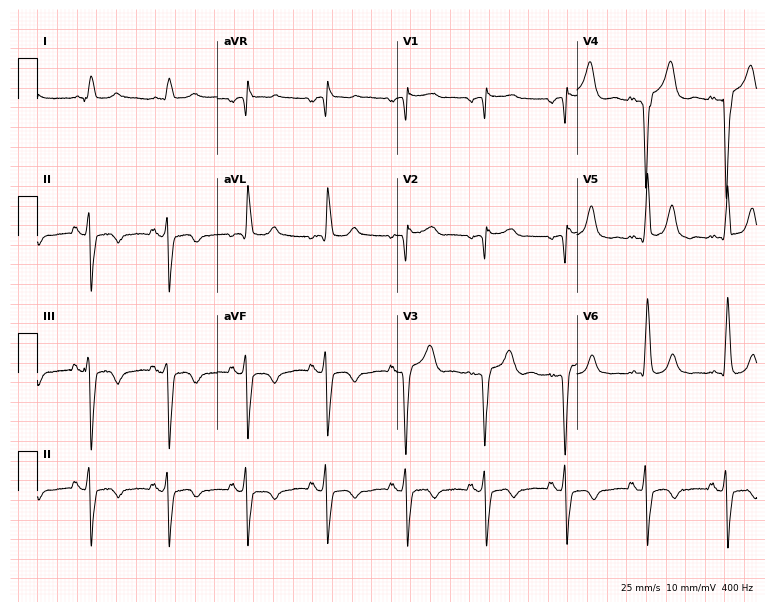
ECG (7.3-second recording at 400 Hz) — an 84-year-old male. Screened for six findings — first-degree AV block, right bundle branch block (RBBB), left bundle branch block (LBBB), sinus bradycardia, atrial fibrillation (AF), sinus tachycardia — none is recorded.